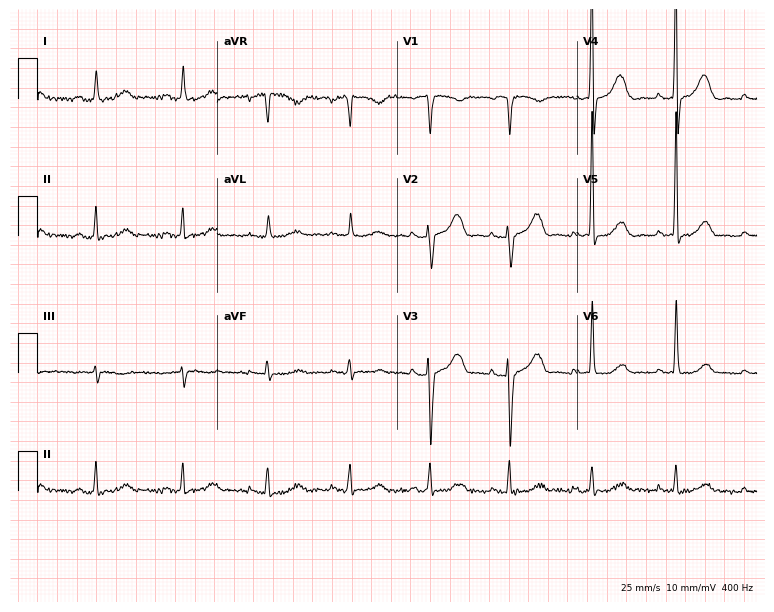
Standard 12-lead ECG recorded from a woman, 72 years old. Read as a normal ECG.